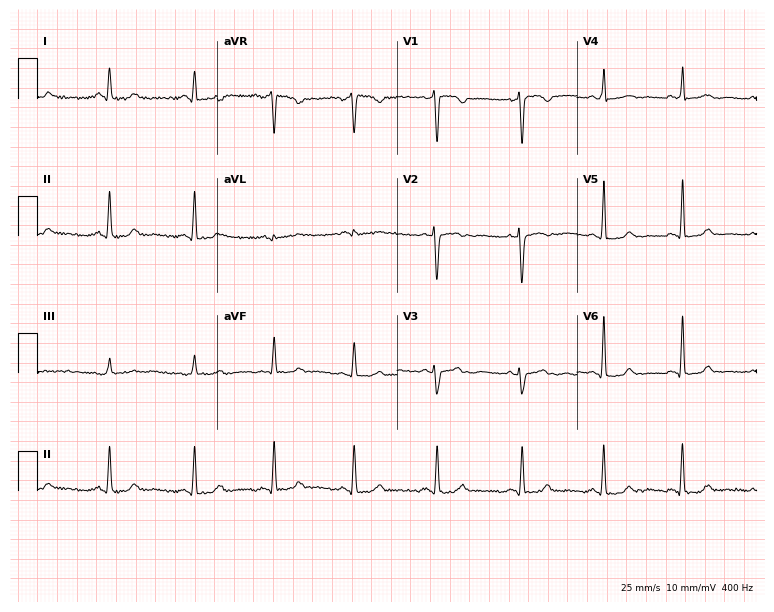
ECG — a woman, 34 years old. Screened for six findings — first-degree AV block, right bundle branch block, left bundle branch block, sinus bradycardia, atrial fibrillation, sinus tachycardia — none is recorded.